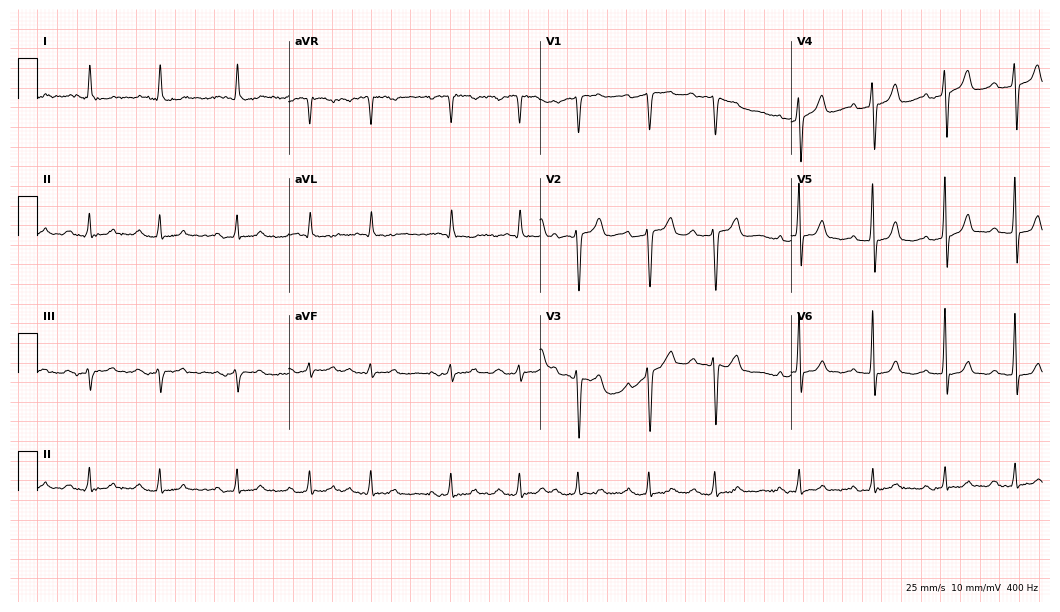
Electrocardiogram (10.2-second recording at 400 Hz), a 73-year-old woman. Overall reading on record: normal ECG.